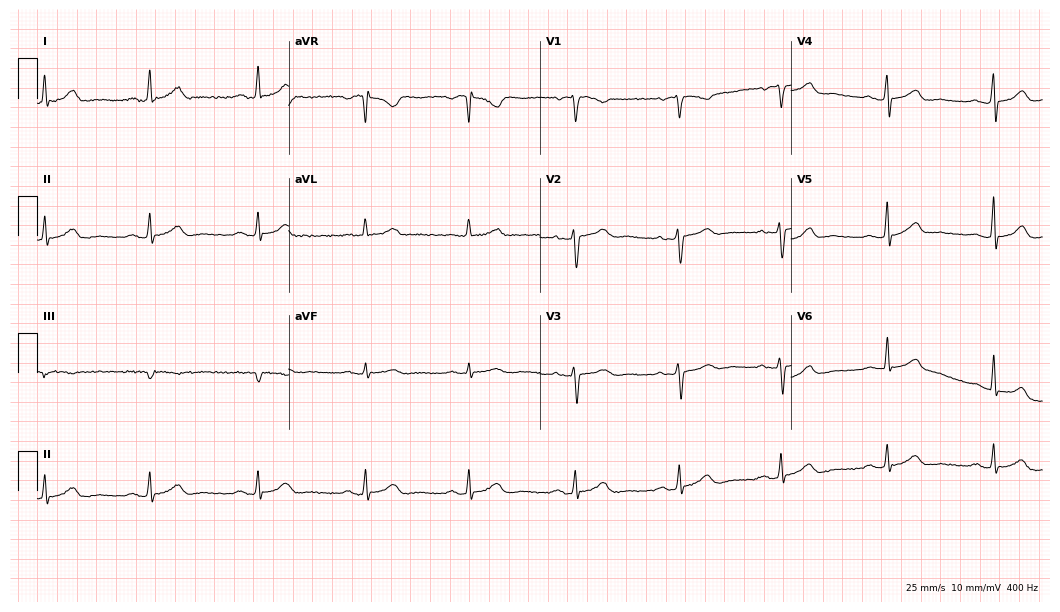
ECG (10.2-second recording at 400 Hz) — a female patient, 53 years old. Labelled as a normal ECG.